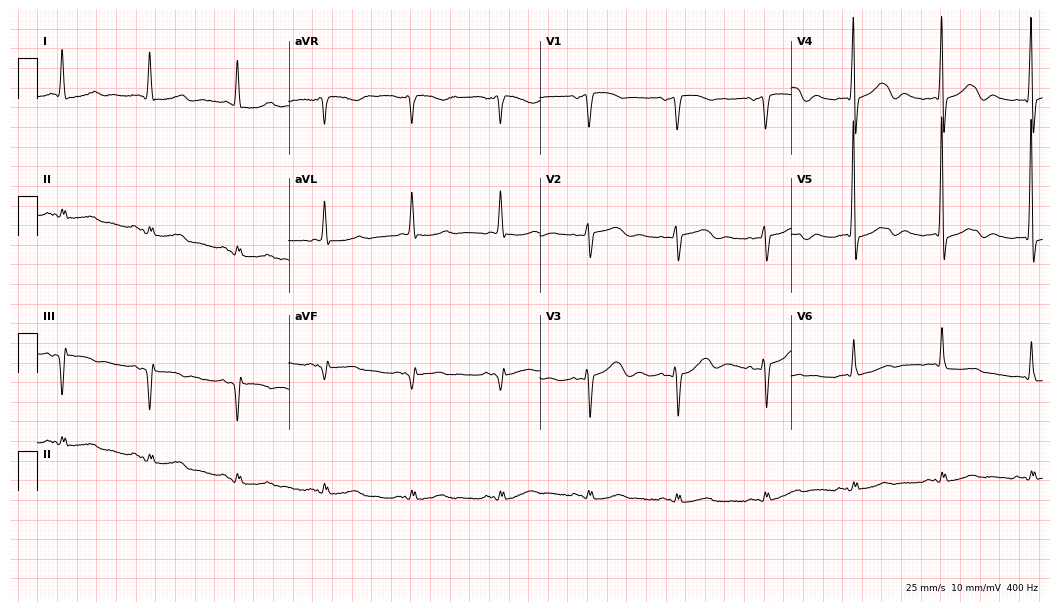
Standard 12-lead ECG recorded from a woman, 78 years old. None of these six findings is recorded: first-degree AV block, right bundle branch block, left bundle branch block, sinus bradycardia, atrial fibrillation, sinus tachycardia.